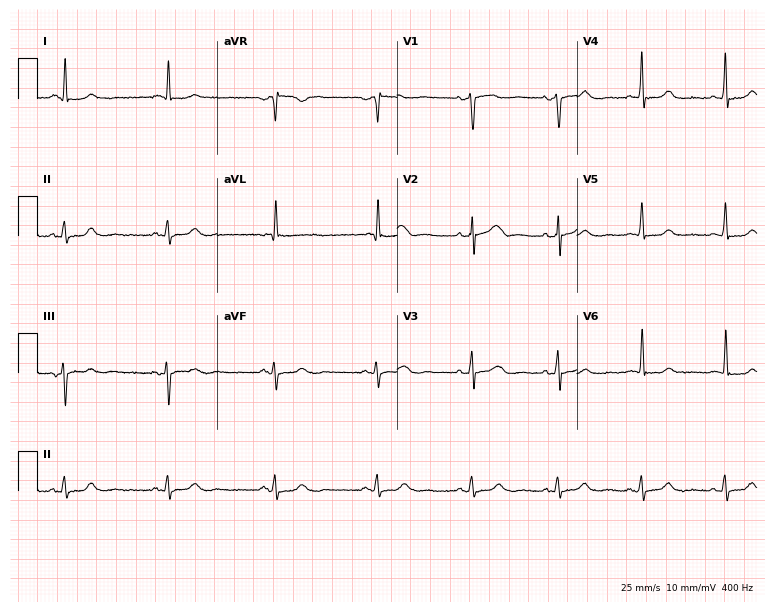
12-lead ECG from a 72-year-old female. Screened for six findings — first-degree AV block, right bundle branch block, left bundle branch block, sinus bradycardia, atrial fibrillation, sinus tachycardia — none is recorded. Other findings, if any, are not listed.